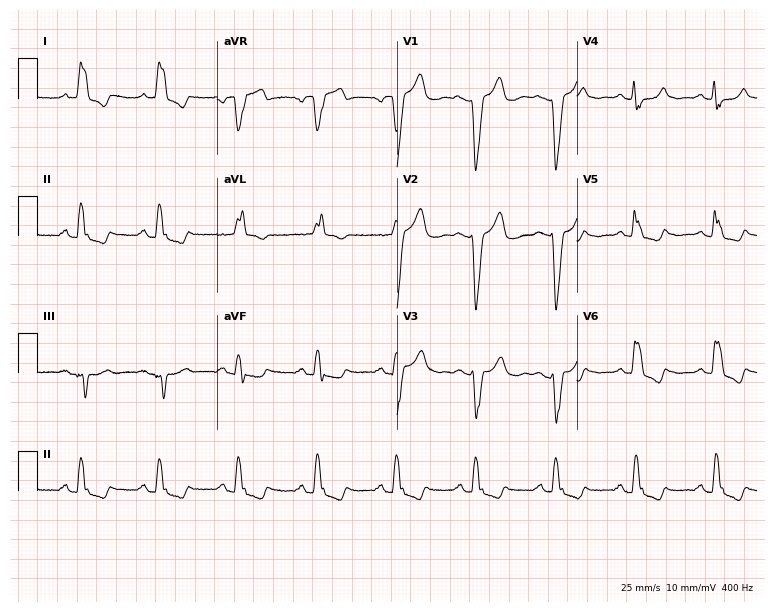
ECG — a 72-year-old female. Findings include left bundle branch block (LBBB).